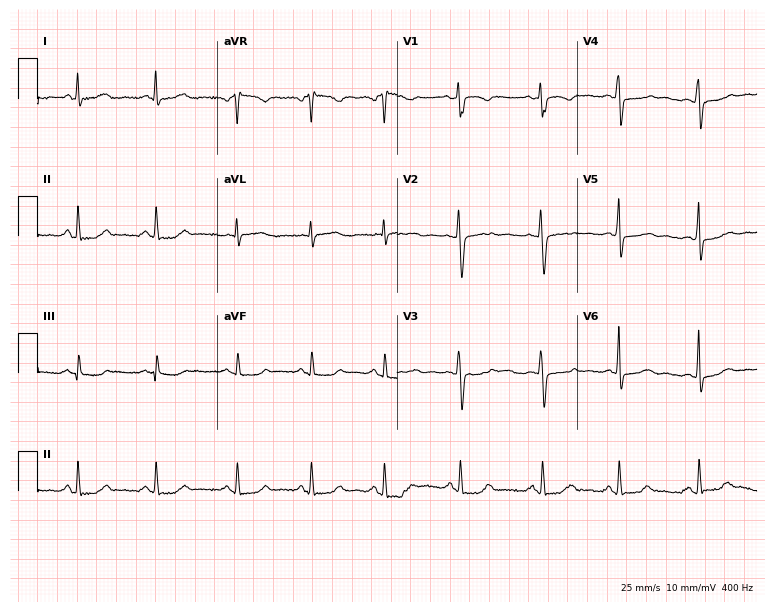
ECG — a female, 38 years old. Screened for six findings — first-degree AV block, right bundle branch block (RBBB), left bundle branch block (LBBB), sinus bradycardia, atrial fibrillation (AF), sinus tachycardia — none is recorded. Findings outside these six are not listed.